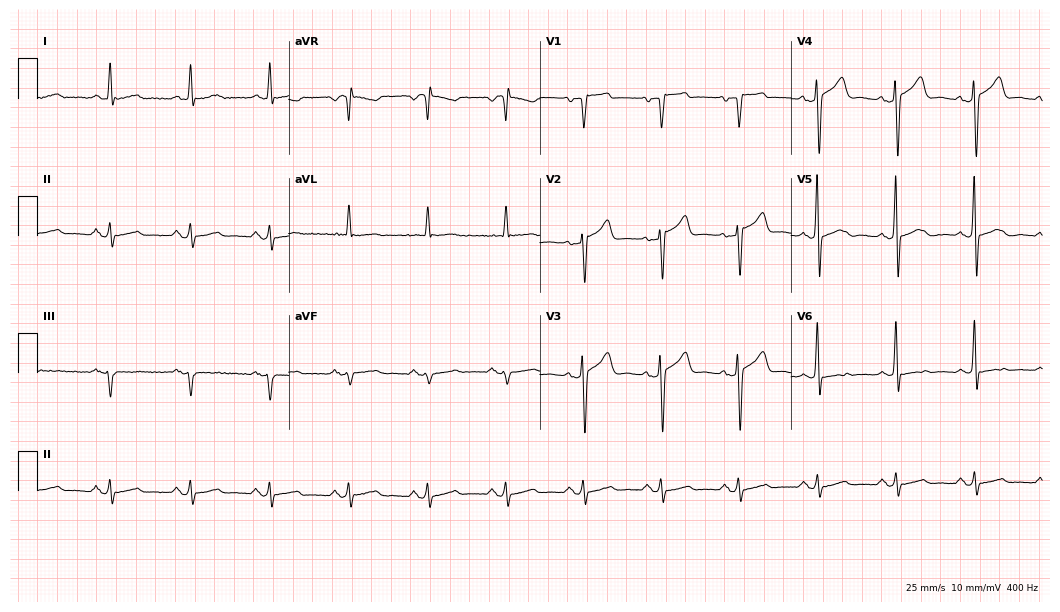
ECG (10.2-second recording at 400 Hz) — a 65-year-old man. Labelled as a normal ECG.